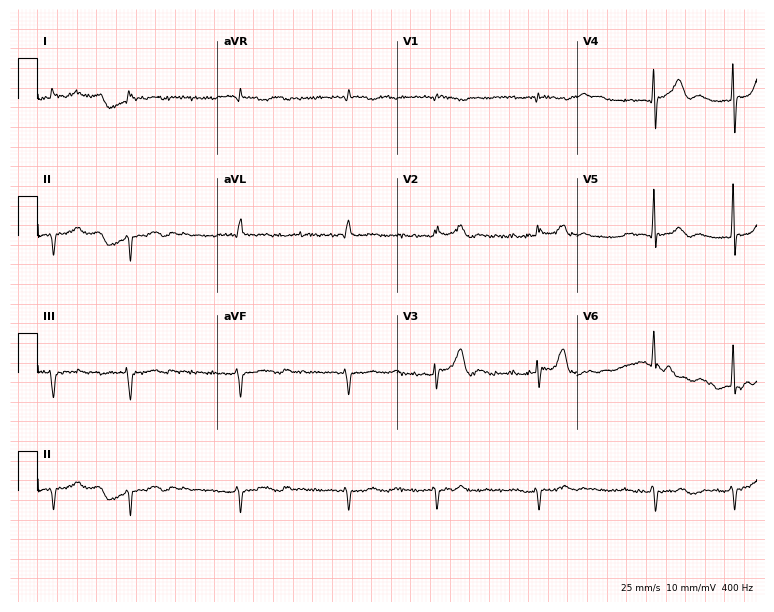
Resting 12-lead electrocardiogram (7.3-second recording at 400 Hz). Patient: a 65-year-old man. None of these six findings is recorded: first-degree AV block, right bundle branch block, left bundle branch block, sinus bradycardia, atrial fibrillation, sinus tachycardia.